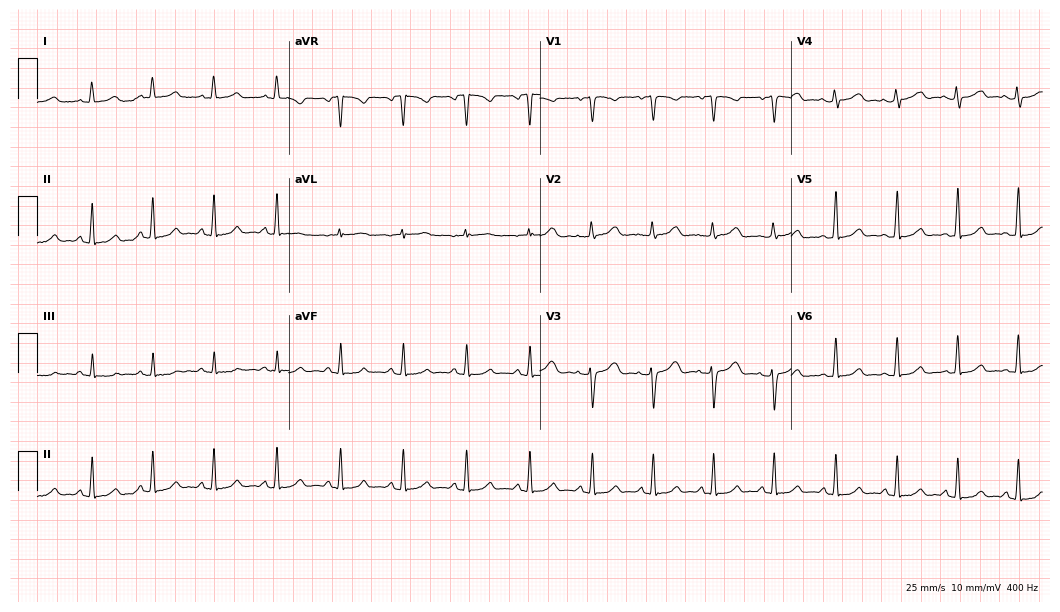
Standard 12-lead ECG recorded from a female, 26 years old. Read as a normal ECG.